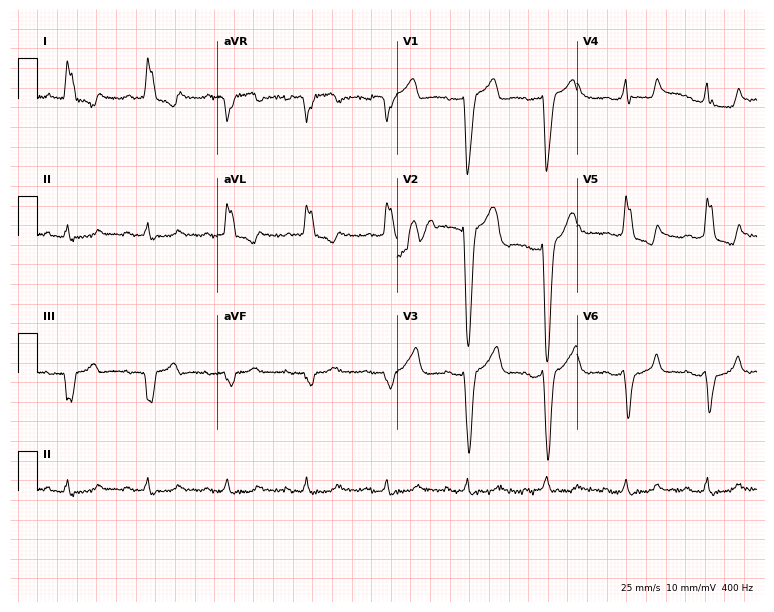
ECG — a male, 82 years old. Screened for six findings — first-degree AV block, right bundle branch block (RBBB), left bundle branch block (LBBB), sinus bradycardia, atrial fibrillation (AF), sinus tachycardia — none is recorded. Other findings, if any, are not listed.